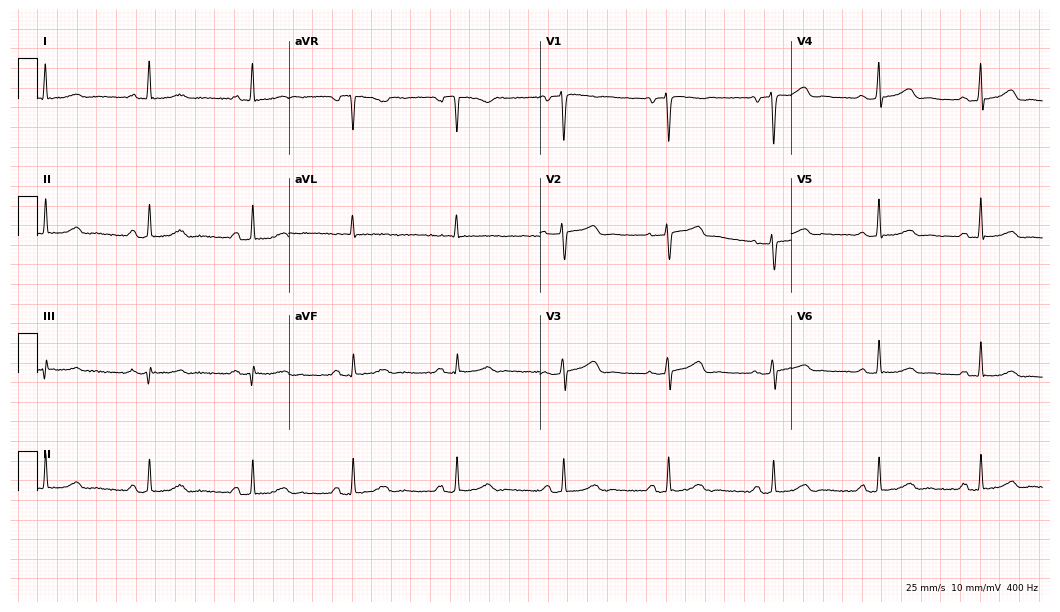
Resting 12-lead electrocardiogram (10.2-second recording at 400 Hz). Patient: a female, 55 years old. None of these six findings is recorded: first-degree AV block, right bundle branch block, left bundle branch block, sinus bradycardia, atrial fibrillation, sinus tachycardia. Only these six findings were labelled.